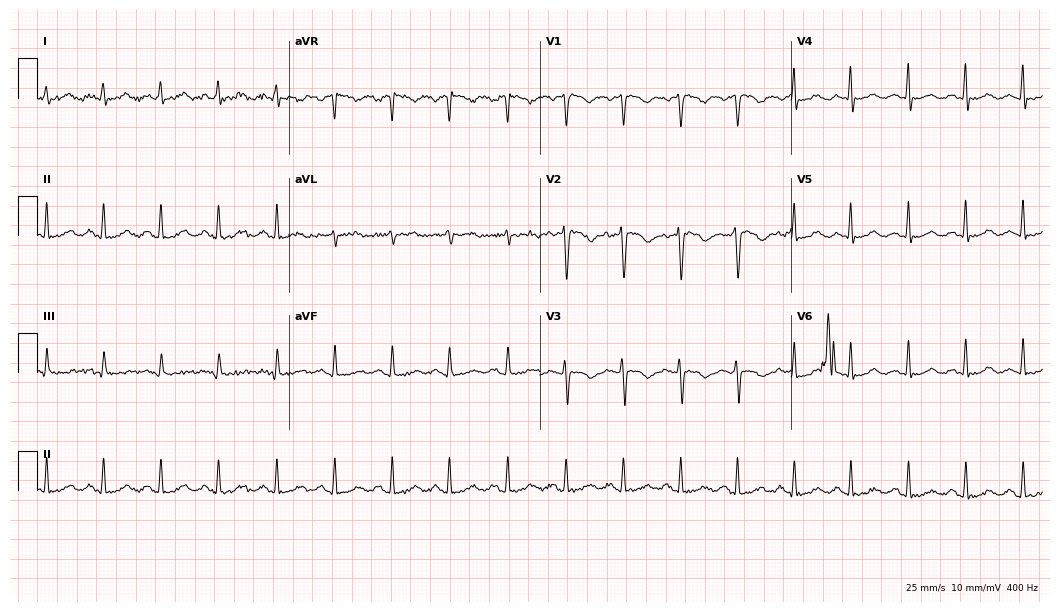
Standard 12-lead ECG recorded from a female patient, 43 years old. None of these six findings is recorded: first-degree AV block, right bundle branch block, left bundle branch block, sinus bradycardia, atrial fibrillation, sinus tachycardia.